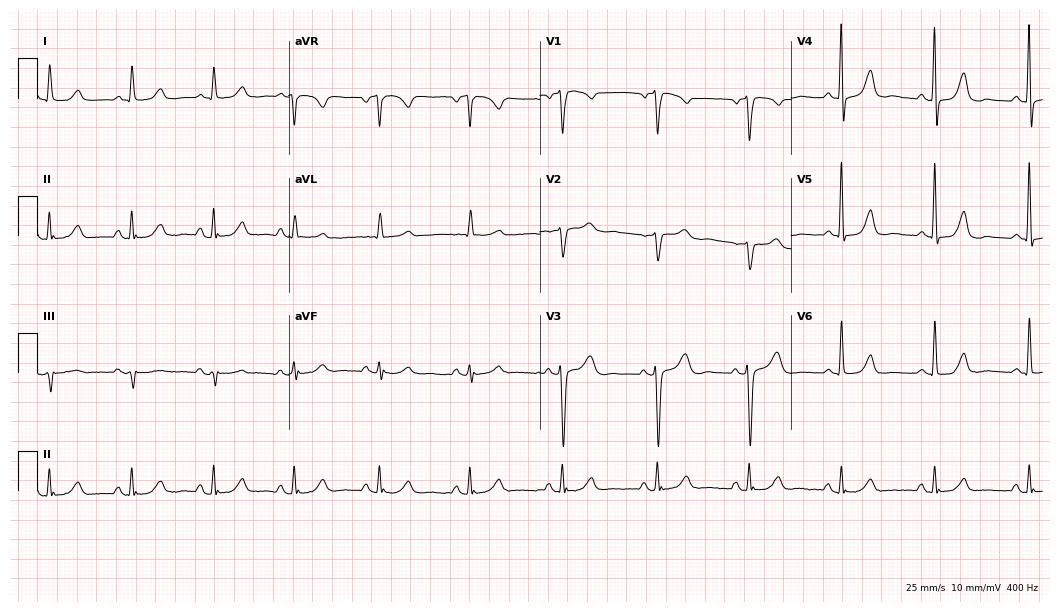
12-lead ECG from a female, 77 years old (10.2-second recording at 400 Hz). No first-degree AV block, right bundle branch block, left bundle branch block, sinus bradycardia, atrial fibrillation or sinus tachycardia recorded for this tracing.